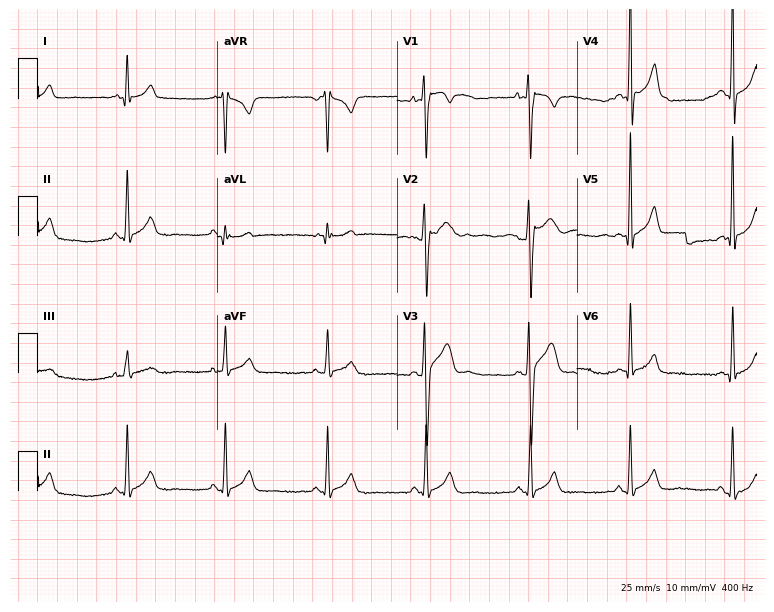
Standard 12-lead ECG recorded from a man, 17 years old (7.3-second recording at 400 Hz). Read as a normal ECG.